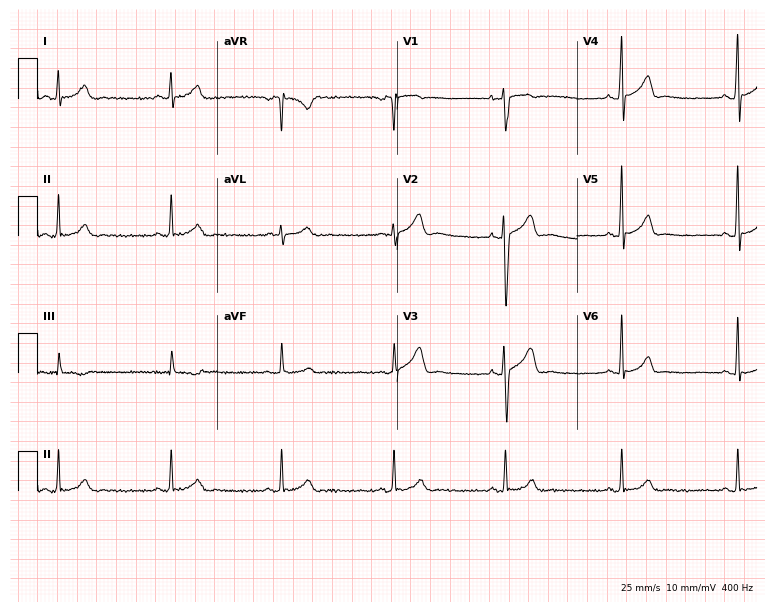
Resting 12-lead electrocardiogram. Patient: a man, 32 years old. Read as a normal ECG.